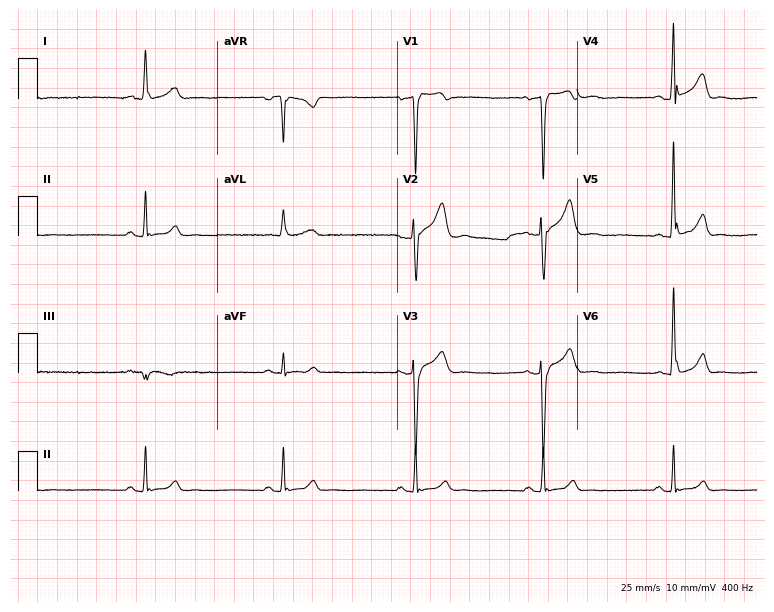
Electrocardiogram, a male, 31 years old. Interpretation includes sinus bradycardia (a sinus rate of 50 beats per minute or less).